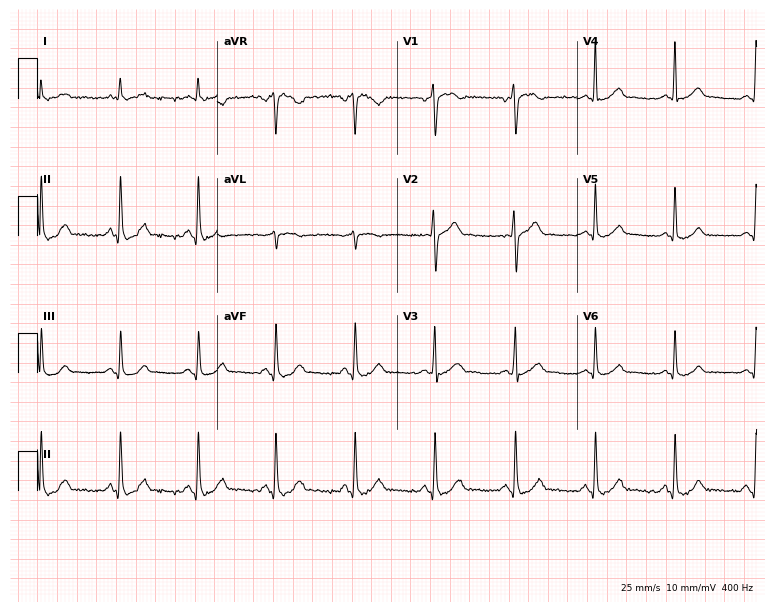
Electrocardiogram (7.3-second recording at 400 Hz), a male patient, 53 years old. Overall reading on record: normal ECG.